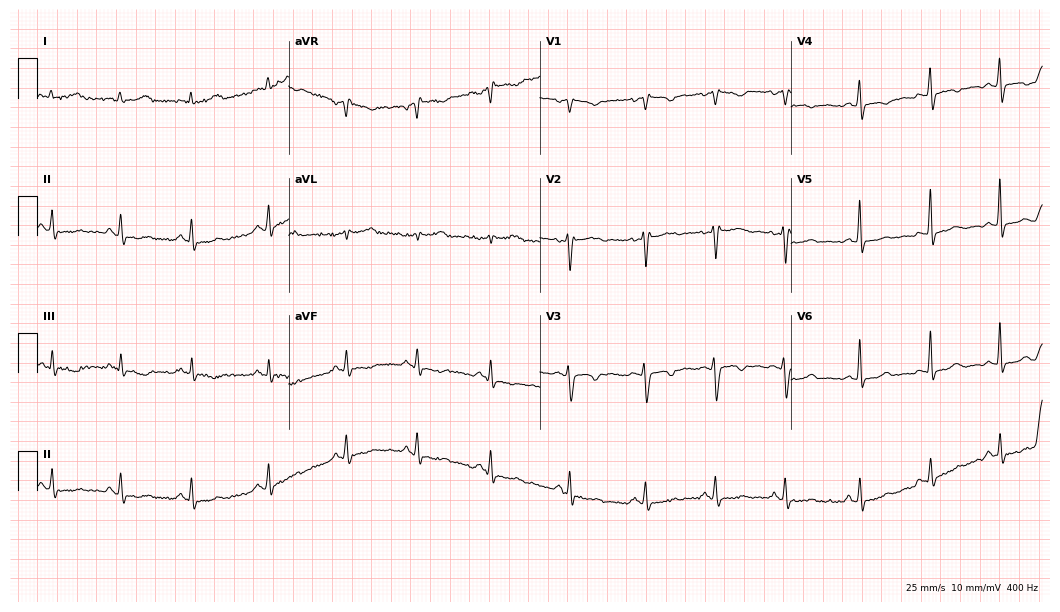
ECG (10.2-second recording at 400 Hz) — a female patient, 31 years old. Screened for six findings — first-degree AV block, right bundle branch block, left bundle branch block, sinus bradycardia, atrial fibrillation, sinus tachycardia — none is recorded.